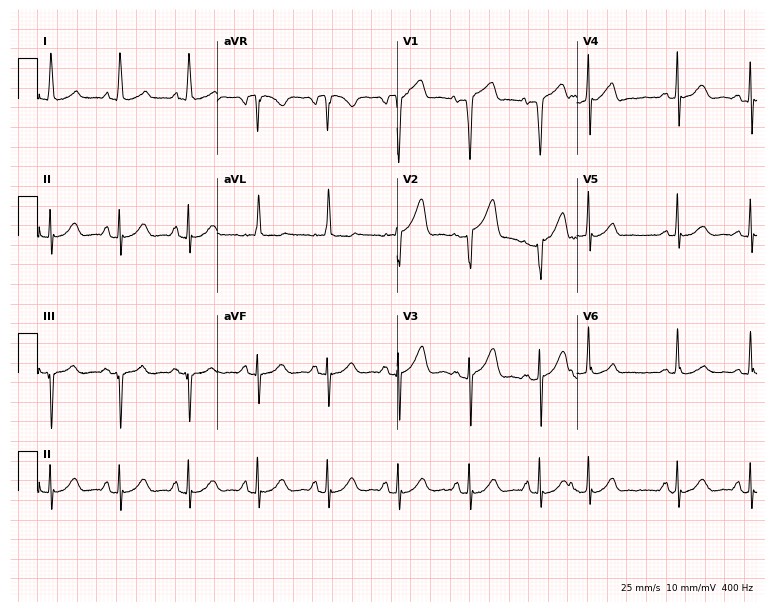
Resting 12-lead electrocardiogram (7.3-second recording at 400 Hz). Patient: a male, 75 years old. None of these six findings is recorded: first-degree AV block, right bundle branch block (RBBB), left bundle branch block (LBBB), sinus bradycardia, atrial fibrillation (AF), sinus tachycardia.